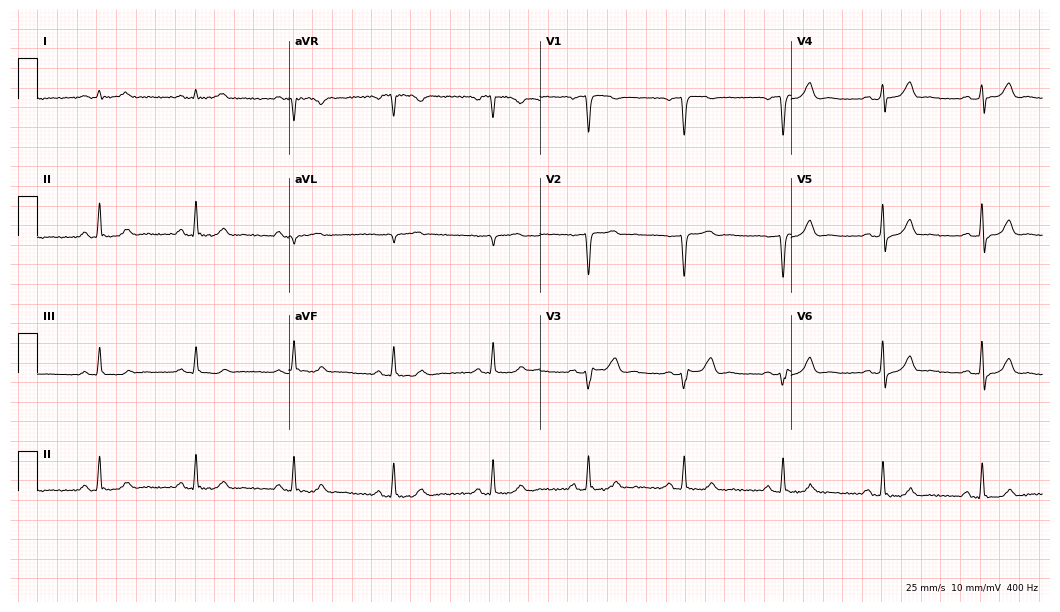
ECG (10.2-second recording at 400 Hz) — a man, 48 years old. Screened for six findings — first-degree AV block, right bundle branch block, left bundle branch block, sinus bradycardia, atrial fibrillation, sinus tachycardia — none is recorded.